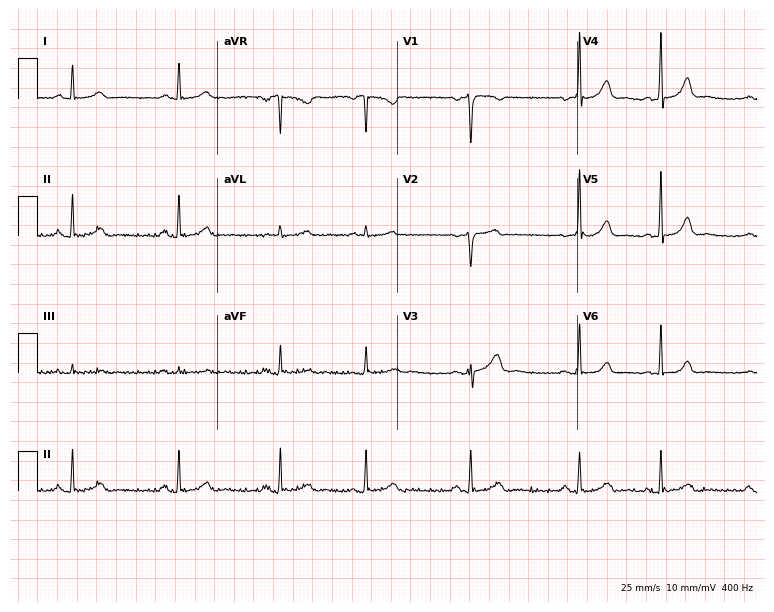
12-lead ECG from a woman, 26 years old. Labelled as a normal ECG.